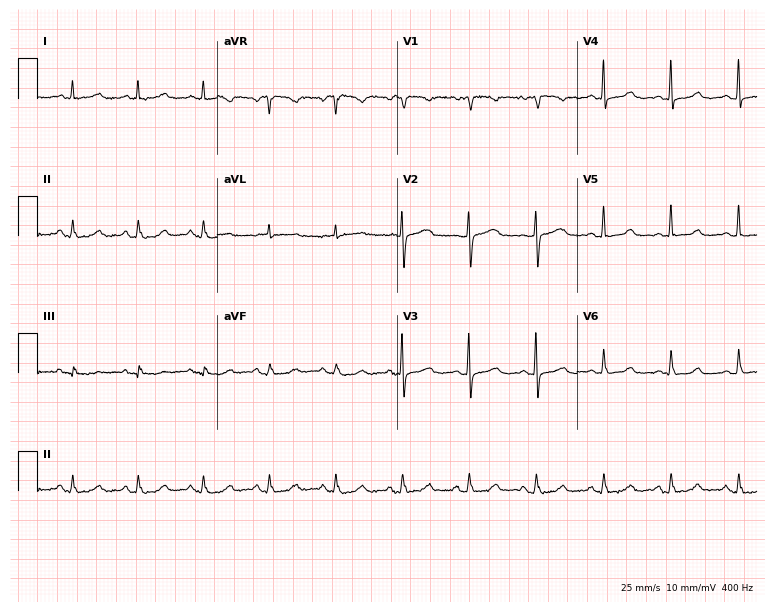
Resting 12-lead electrocardiogram. Patient: a 77-year-old female. Read as a normal ECG.